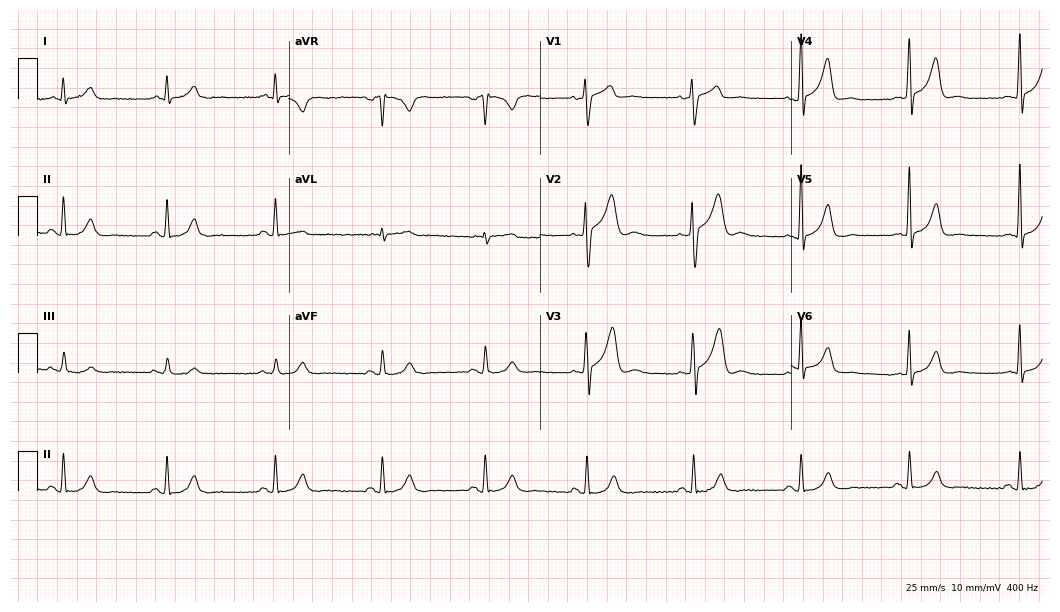
12-lead ECG (10.2-second recording at 400 Hz) from a 55-year-old male patient. Labelled as a normal ECG.